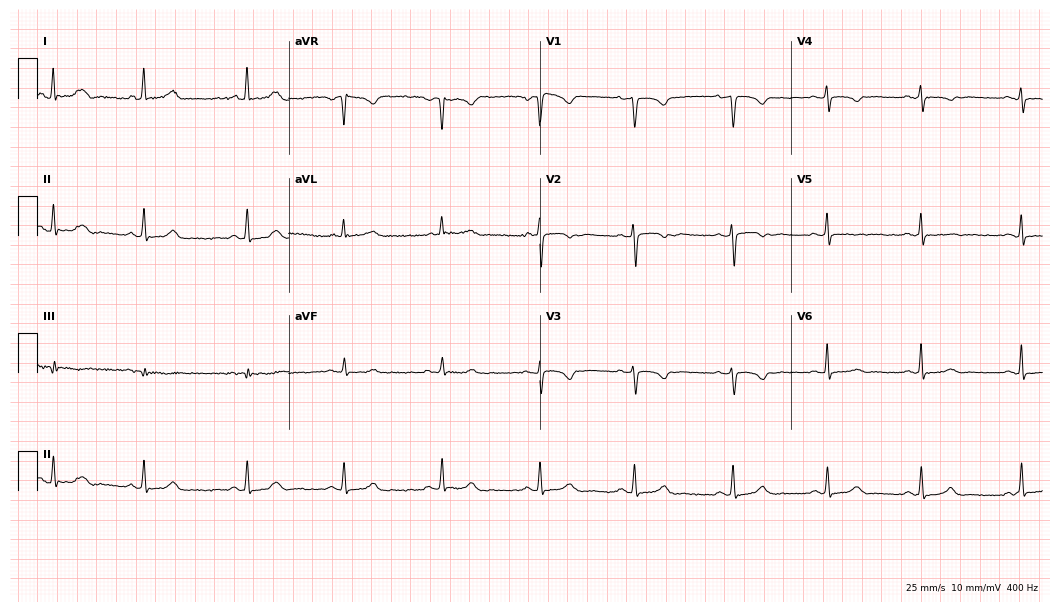
Standard 12-lead ECG recorded from a female, 32 years old (10.2-second recording at 400 Hz). Read as a normal ECG.